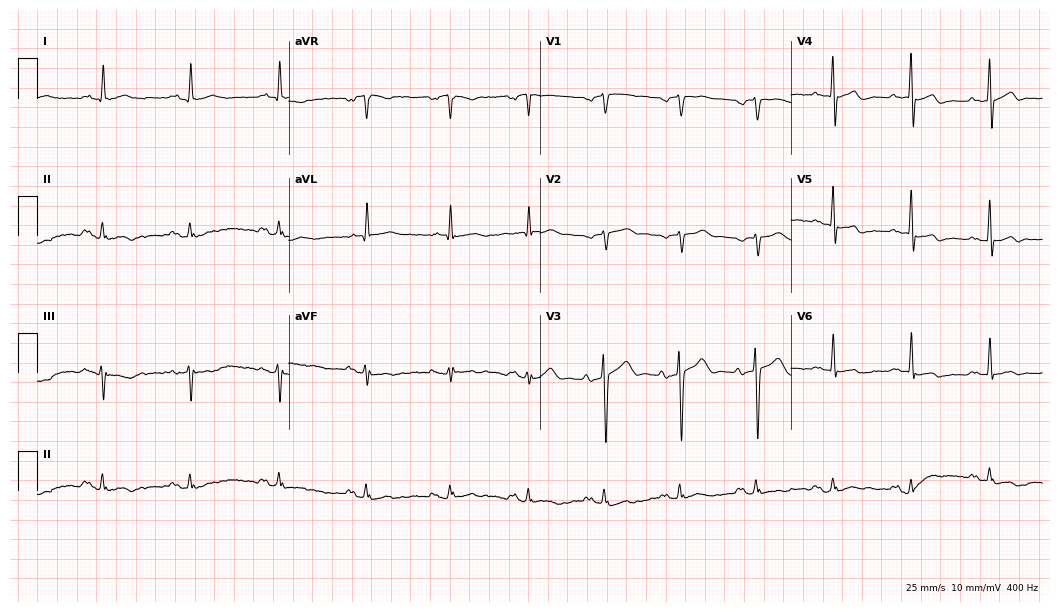
Resting 12-lead electrocardiogram (10.2-second recording at 400 Hz). Patient: a male, 68 years old. Read as a normal ECG.